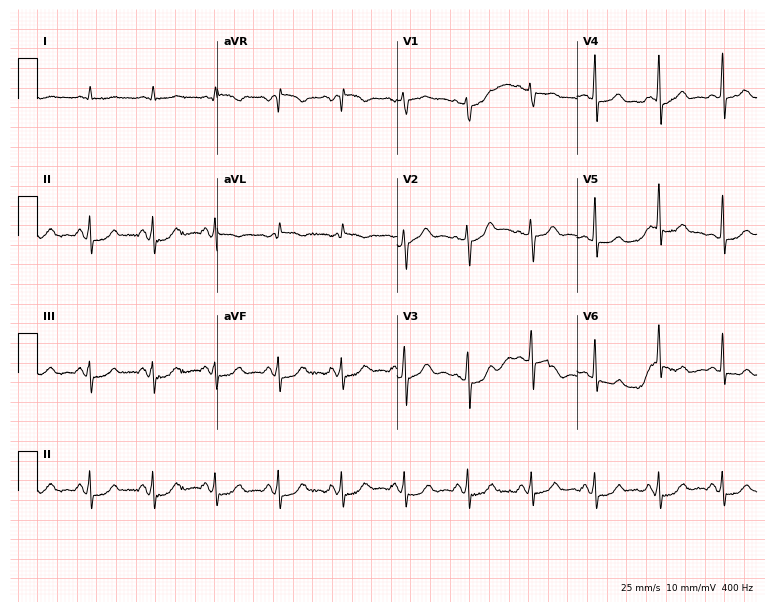
12-lead ECG from a 79-year-old male patient. No first-degree AV block, right bundle branch block, left bundle branch block, sinus bradycardia, atrial fibrillation or sinus tachycardia recorded for this tracing. Findings outside these six are not listed.